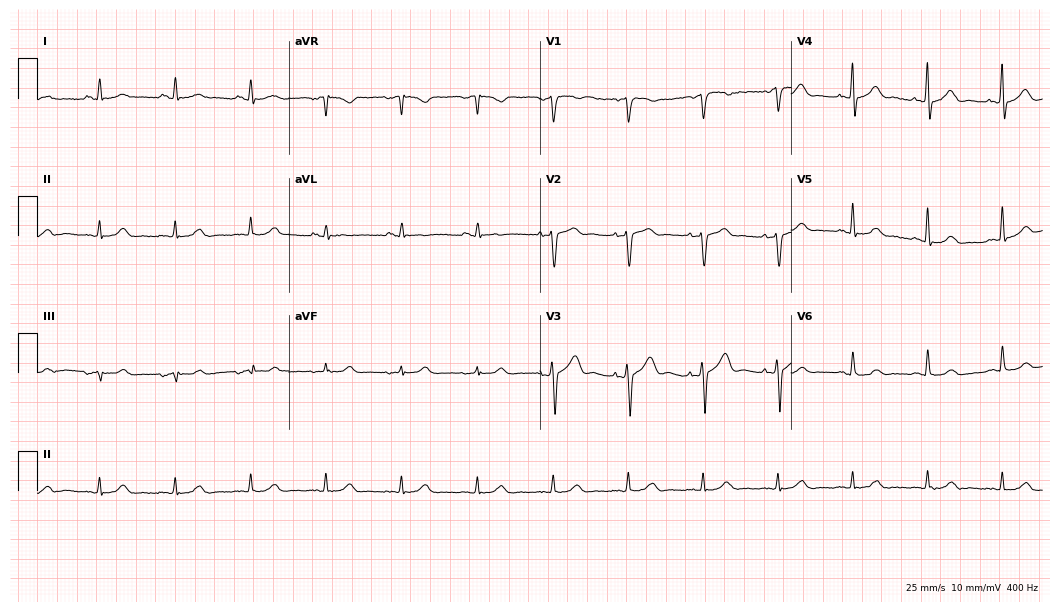
Electrocardiogram, a 77-year-old male. Overall reading on record: normal ECG.